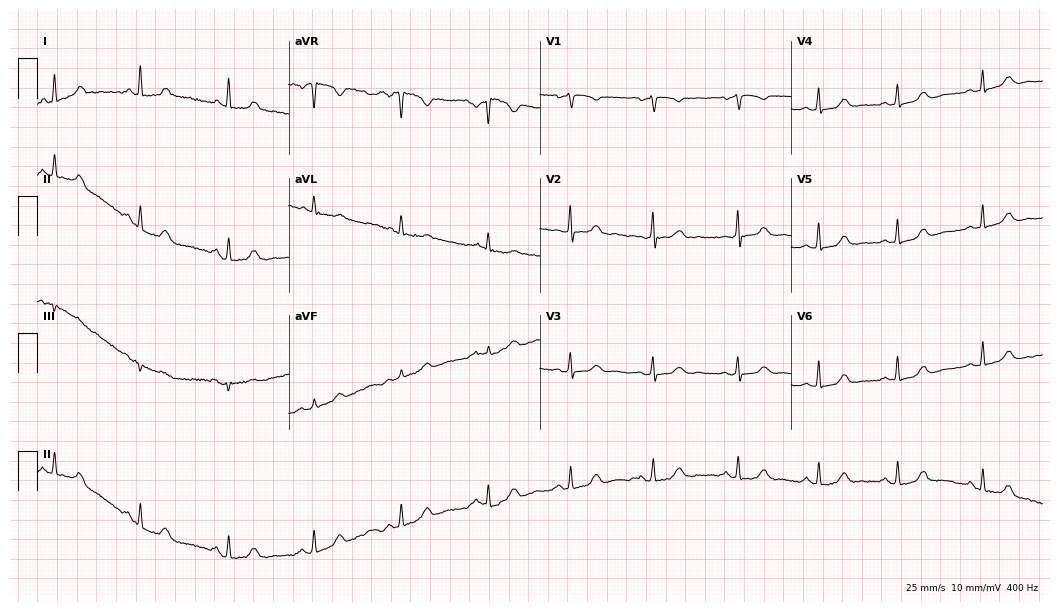
Standard 12-lead ECG recorded from a 57-year-old woman (10.2-second recording at 400 Hz). Read as a normal ECG.